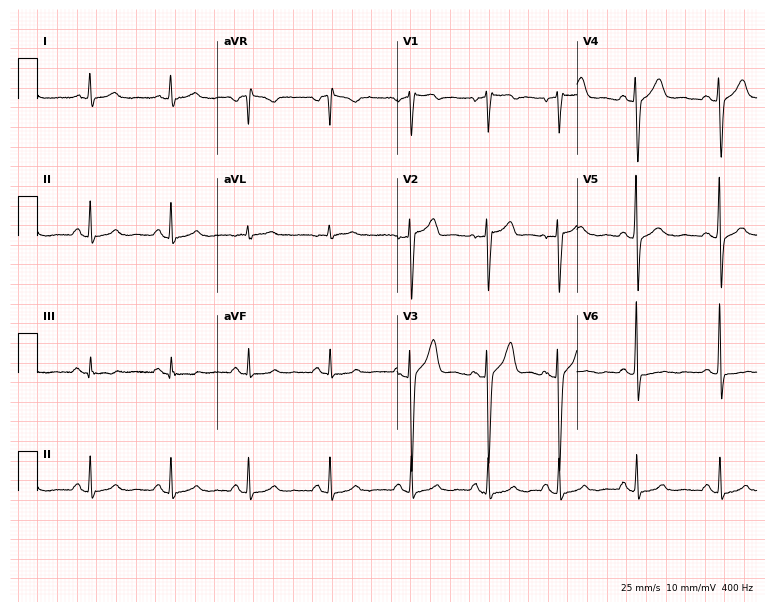
ECG — a 36-year-old man. Screened for six findings — first-degree AV block, right bundle branch block, left bundle branch block, sinus bradycardia, atrial fibrillation, sinus tachycardia — none is recorded. Findings outside these six are not listed.